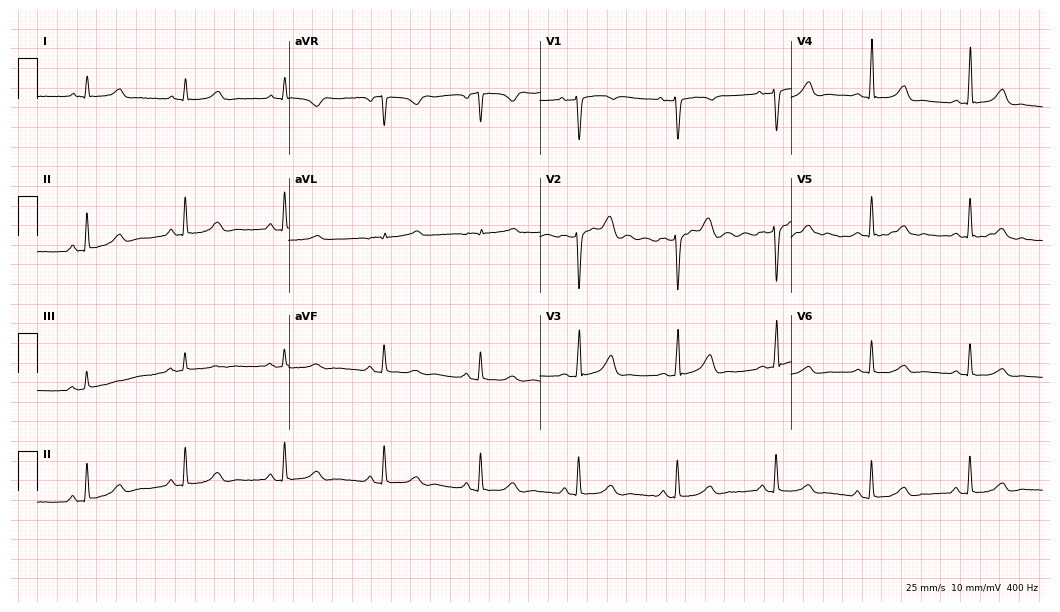
12-lead ECG from a female, 45 years old (10.2-second recording at 400 Hz). Recorded interpretation: within normal limits.